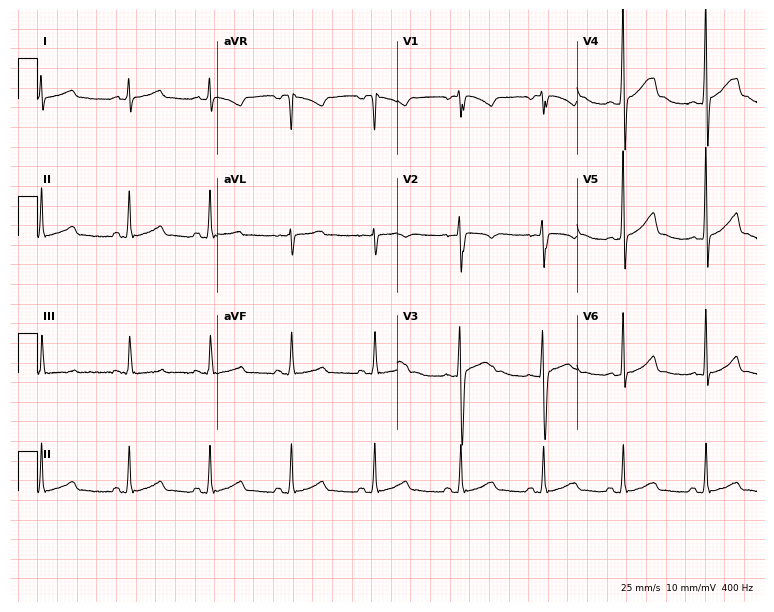
12-lead ECG from a male patient, 18 years old (7.3-second recording at 400 Hz). No first-degree AV block, right bundle branch block, left bundle branch block, sinus bradycardia, atrial fibrillation or sinus tachycardia recorded for this tracing. Only these six findings were labelled.